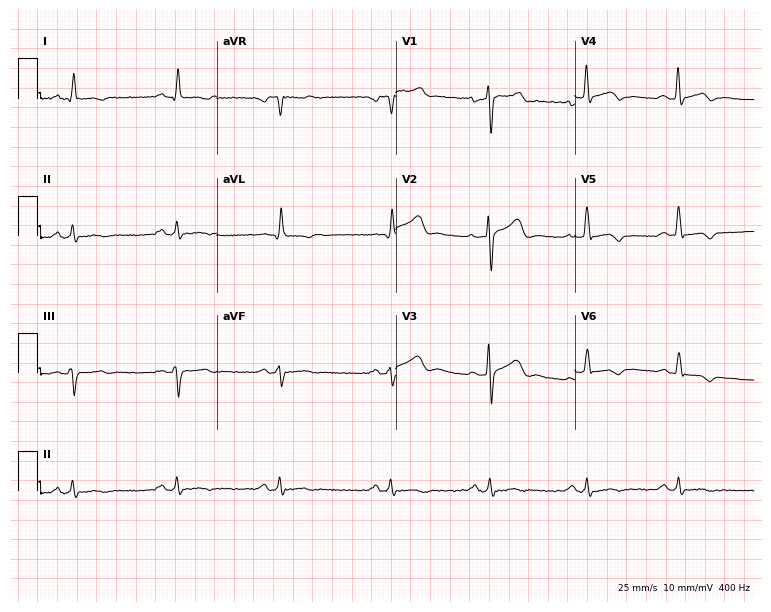
Electrocardiogram (7.3-second recording at 400 Hz), a 55-year-old man. Of the six screened findings (first-degree AV block, right bundle branch block, left bundle branch block, sinus bradycardia, atrial fibrillation, sinus tachycardia), none is recorded.